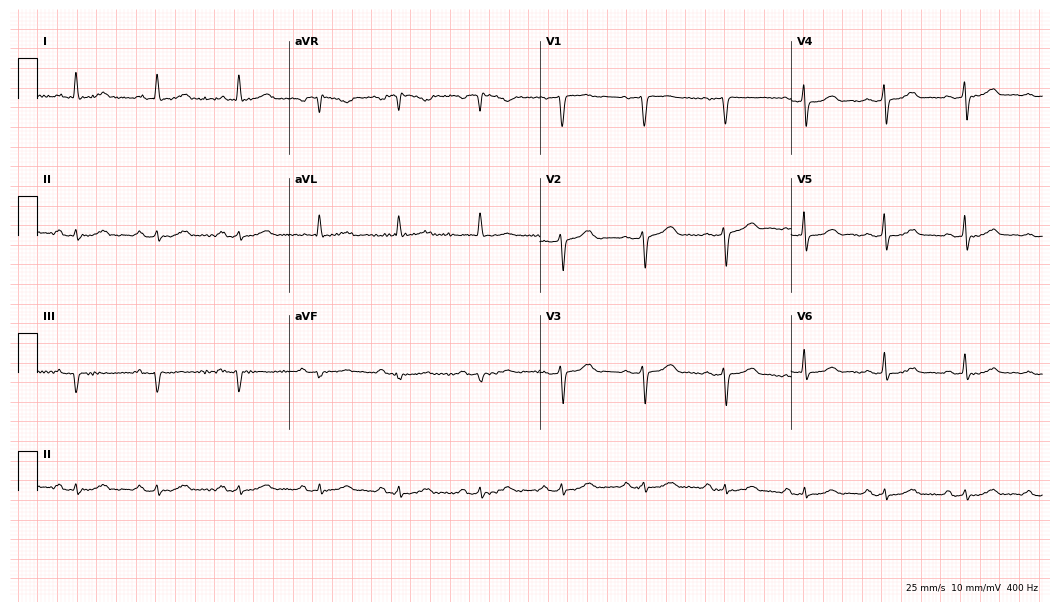
12-lead ECG (10.2-second recording at 400 Hz) from a 70-year-old male patient. Labelled as a normal ECG.